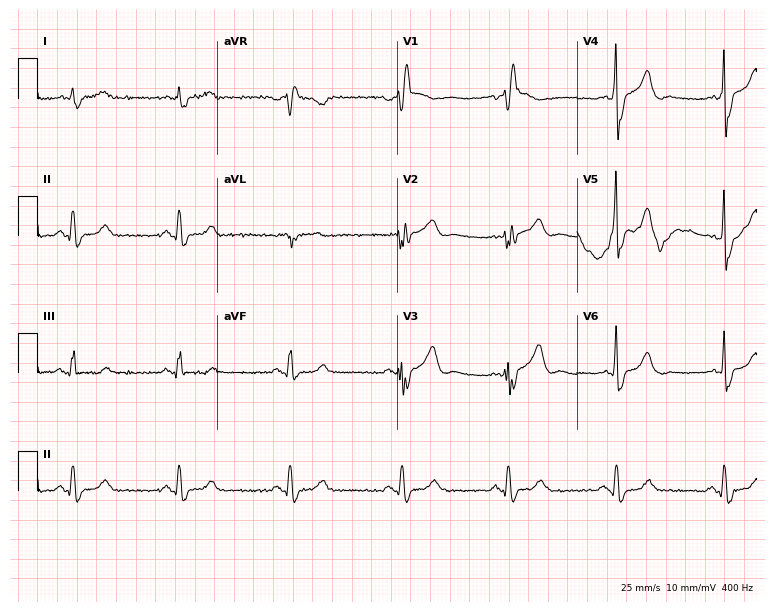
ECG (7.3-second recording at 400 Hz) — a 61-year-old male patient. Findings include right bundle branch block (RBBB).